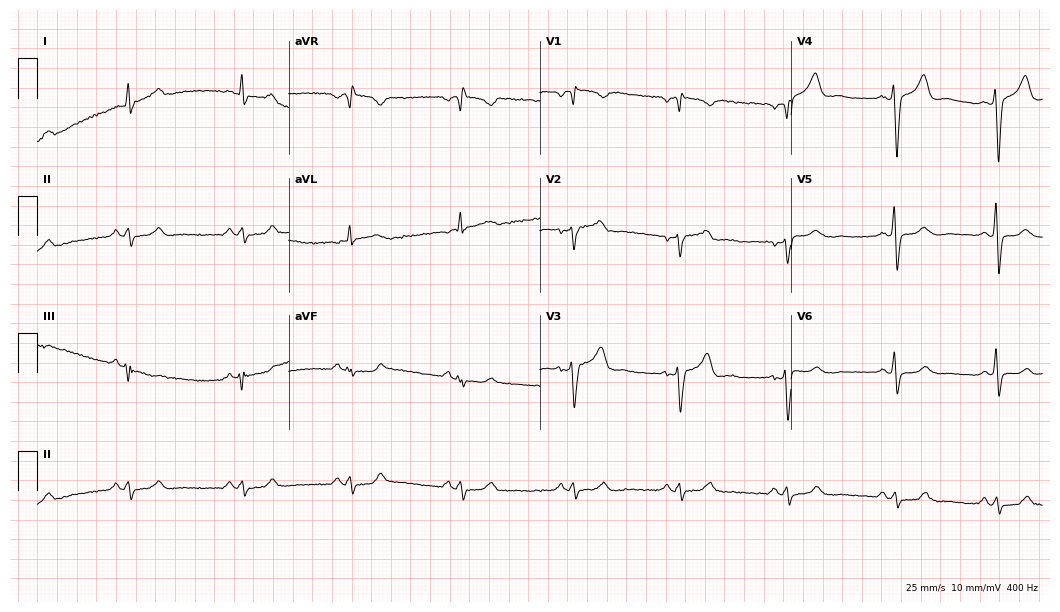
Standard 12-lead ECG recorded from a 56-year-old male (10.2-second recording at 400 Hz). None of these six findings is recorded: first-degree AV block, right bundle branch block (RBBB), left bundle branch block (LBBB), sinus bradycardia, atrial fibrillation (AF), sinus tachycardia. Only these six findings were labelled.